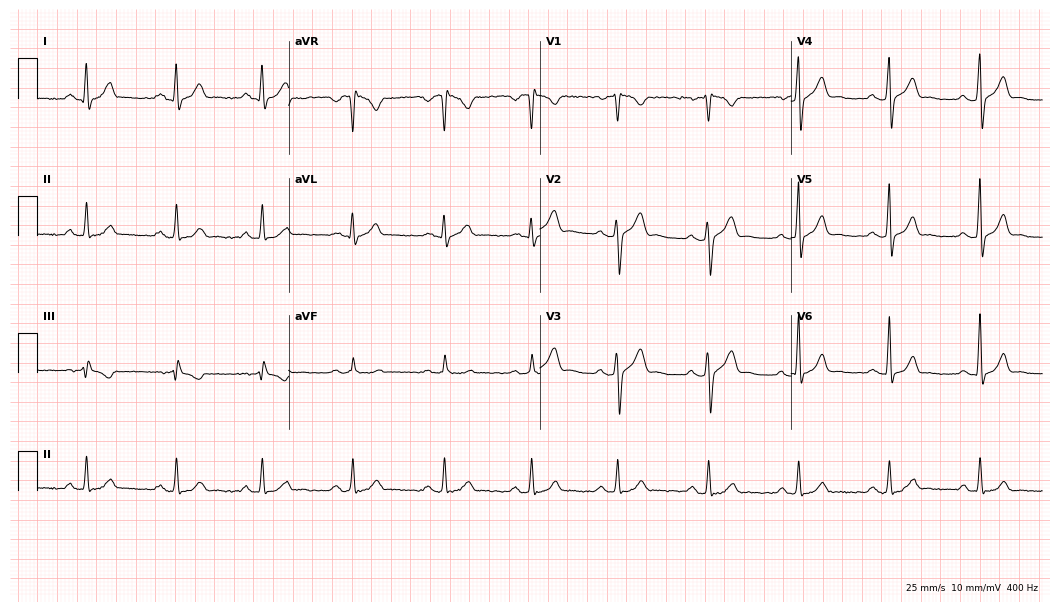
Resting 12-lead electrocardiogram. Patient: a 28-year-old male. Read as a normal ECG.